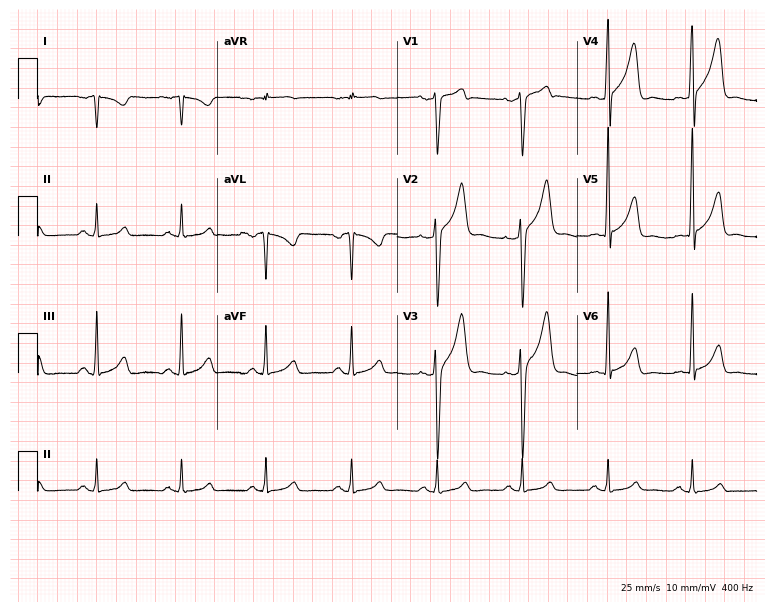
Standard 12-lead ECG recorded from a male, 47 years old (7.3-second recording at 400 Hz). None of these six findings is recorded: first-degree AV block, right bundle branch block, left bundle branch block, sinus bradycardia, atrial fibrillation, sinus tachycardia.